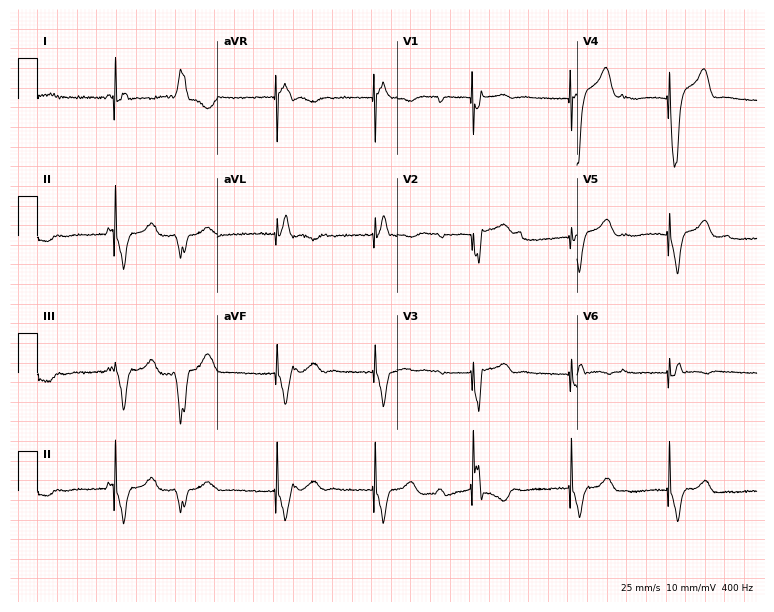
Electrocardiogram (7.3-second recording at 400 Hz), a woman, 54 years old. Of the six screened findings (first-degree AV block, right bundle branch block, left bundle branch block, sinus bradycardia, atrial fibrillation, sinus tachycardia), none is recorded.